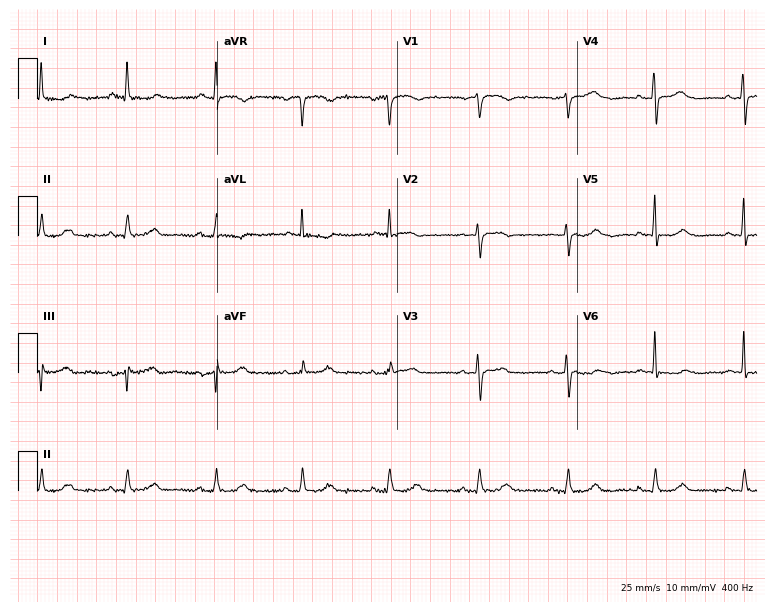
Electrocardiogram, a female, 67 years old. Of the six screened findings (first-degree AV block, right bundle branch block (RBBB), left bundle branch block (LBBB), sinus bradycardia, atrial fibrillation (AF), sinus tachycardia), none is recorded. Findings outside these six are not listed.